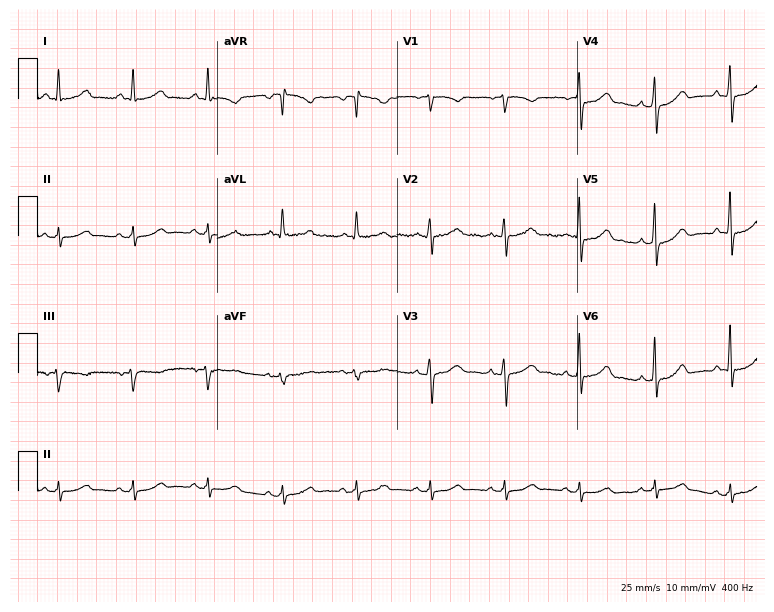
Resting 12-lead electrocardiogram. Patient: a woman, 47 years old. Read as a normal ECG.